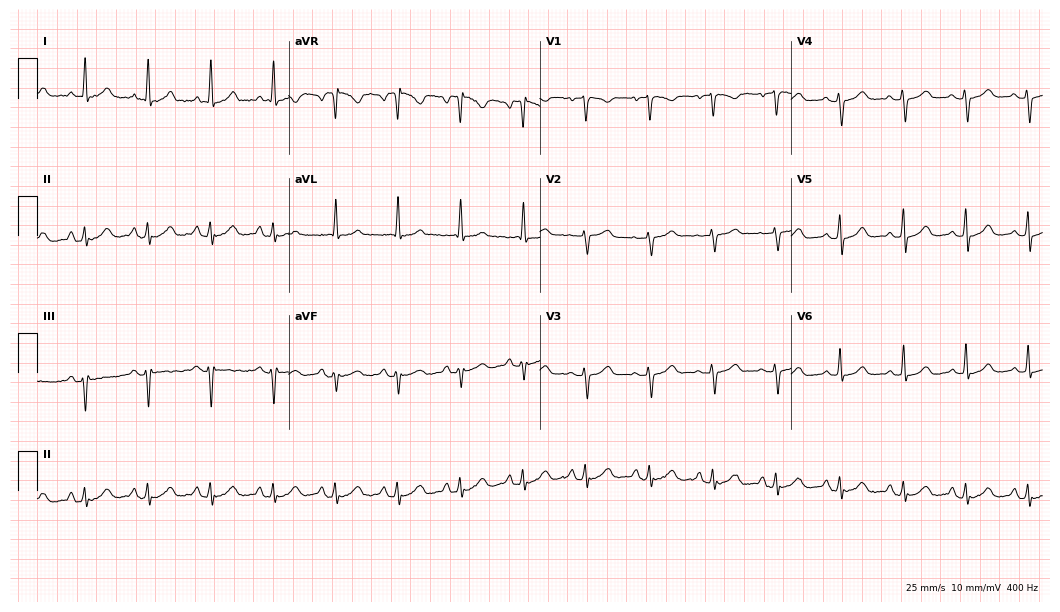
Electrocardiogram, a 48-year-old female patient. Overall reading on record: normal ECG.